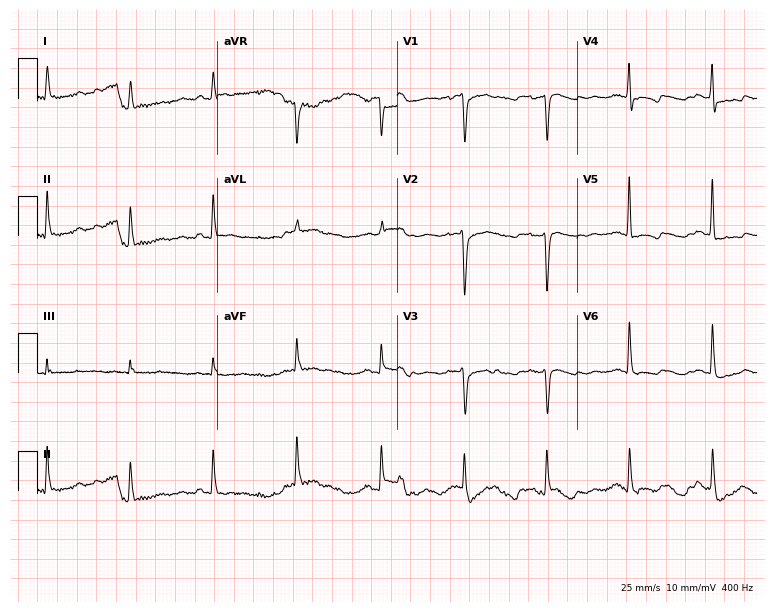
ECG — a 74-year-old female patient. Screened for six findings — first-degree AV block, right bundle branch block, left bundle branch block, sinus bradycardia, atrial fibrillation, sinus tachycardia — none is recorded. Findings outside these six are not listed.